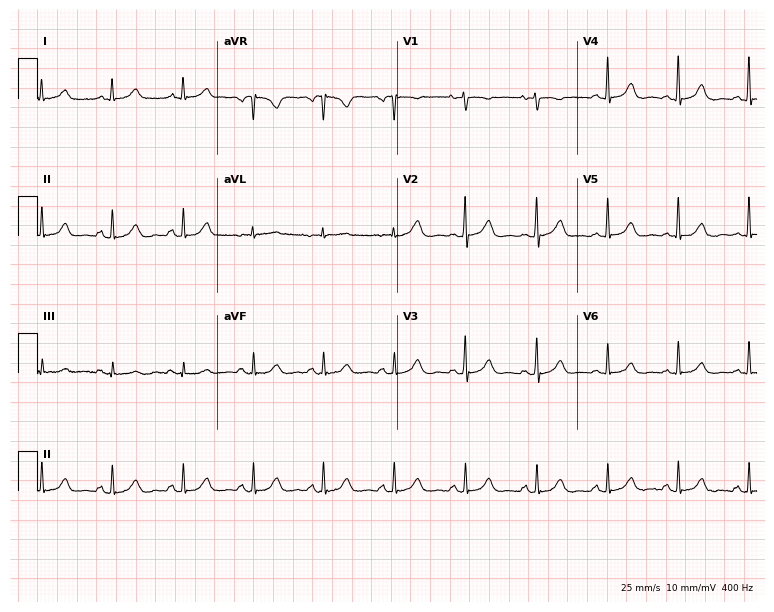
Resting 12-lead electrocardiogram (7.3-second recording at 400 Hz). Patient: a female, 66 years old. Read as a normal ECG.